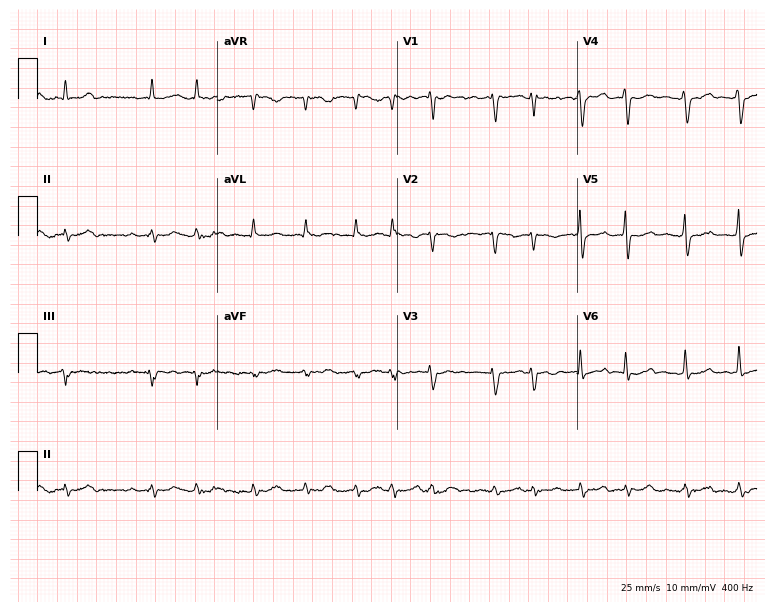
Electrocardiogram, a female, 68 years old. Interpretation includes atrial fibrillation.